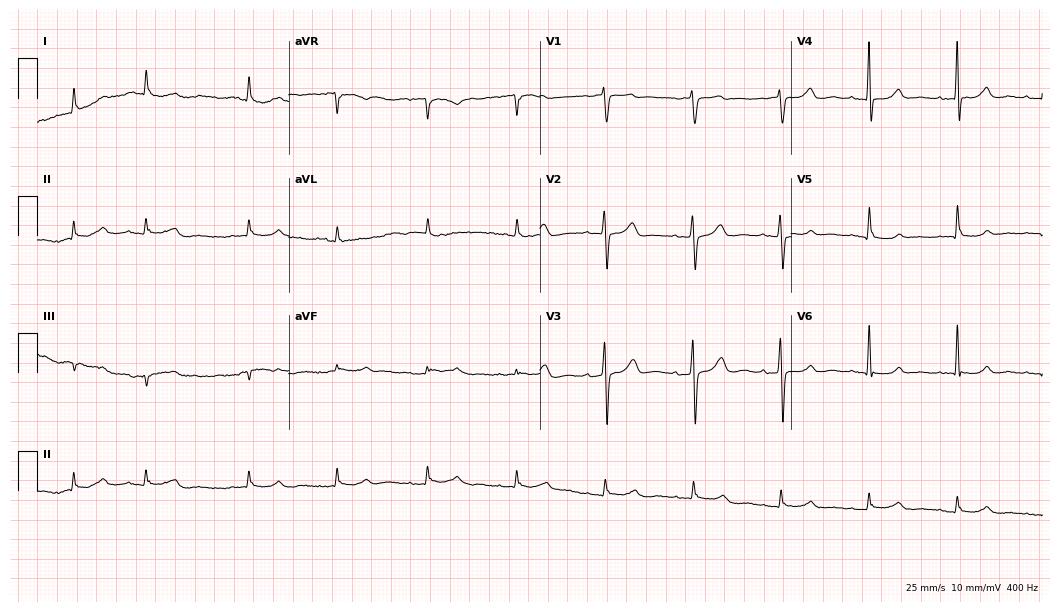
ECG (10.2-second recording at 400 Hz) — a 76-year-old woman. Labelled as a normal ECG.